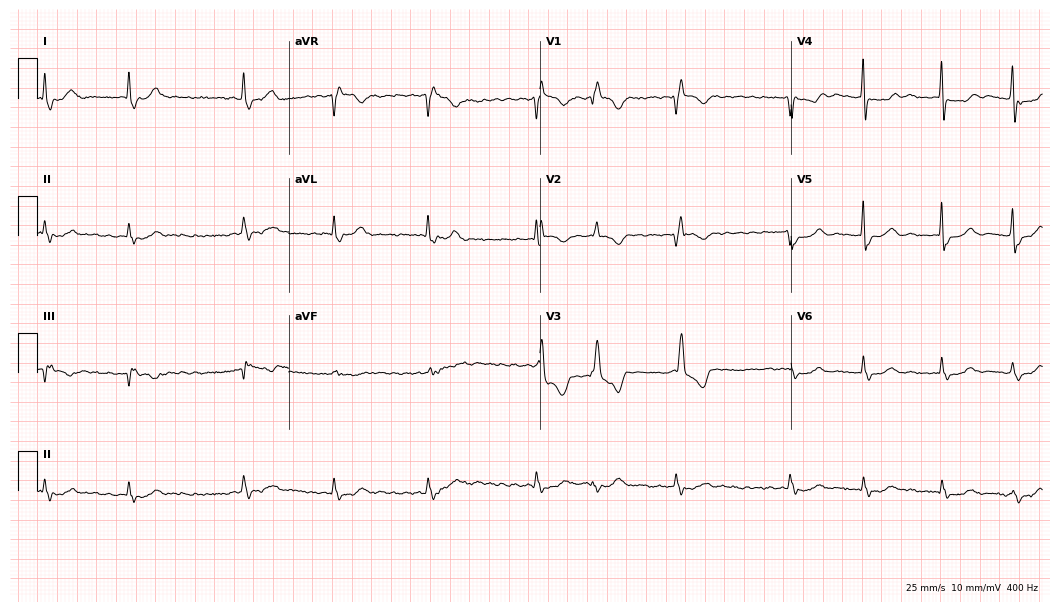
12-lead ECG from an 84-year-old male patient. Shows right bundle branch block, atrial fibrillation.